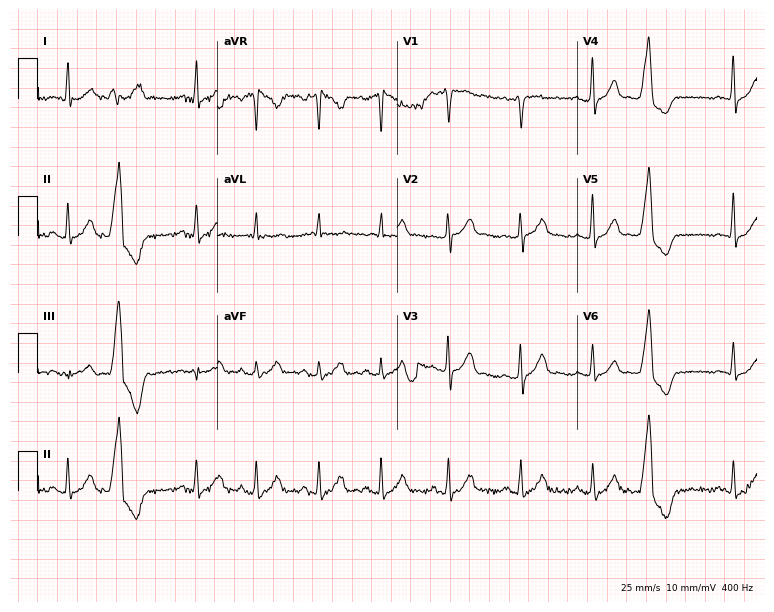
ECG (7.3-second recording at 400 Hz) — a male, 36 years old. Screened for six findings — first-degree AV block, right bundle branch block (RBBB), left bundle branch block (LBBB), sinus bradycardia, atrial fibrillation (AF), sinus tachycardia — none is recorded. Findings outside these six are not listed.